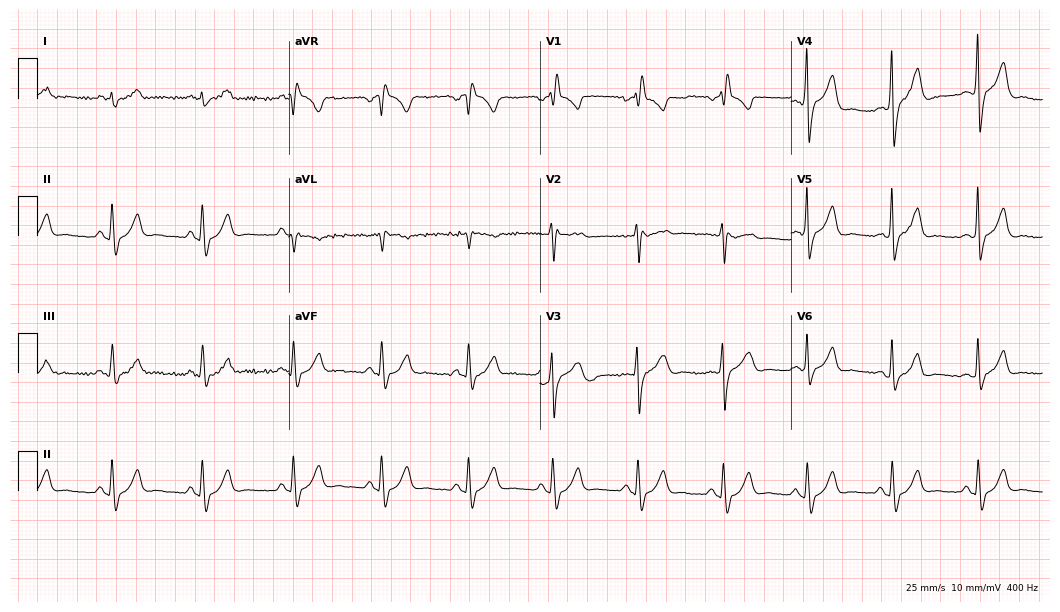
Electrocardiogram (10.2-second recording at 400 Hz), a 52-year-old male. Interpretation includes right bundle branch block (RBBB).